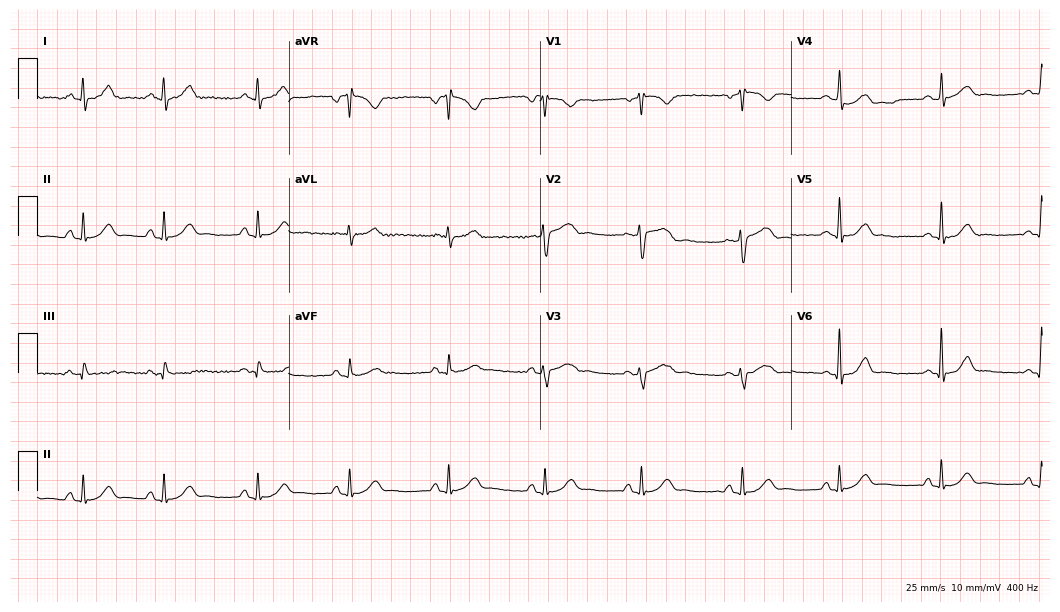
12-lead ECG from a 26-year-old female patient (10.2-second recording at 400 Hz). Recorded interpretation: within normal limits.